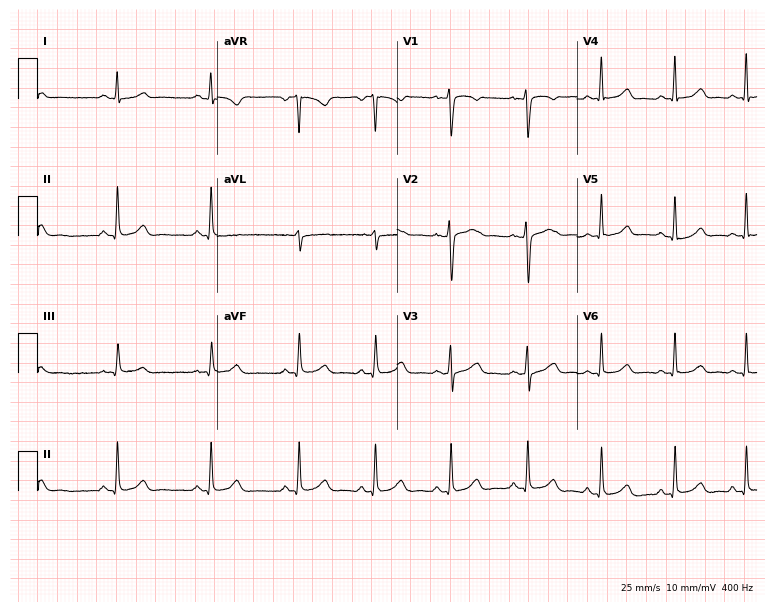
Electrocardiogram (7.3-second recording at 400 Hz), a woman, 25 years old. Overall reading on record: normal ECG.